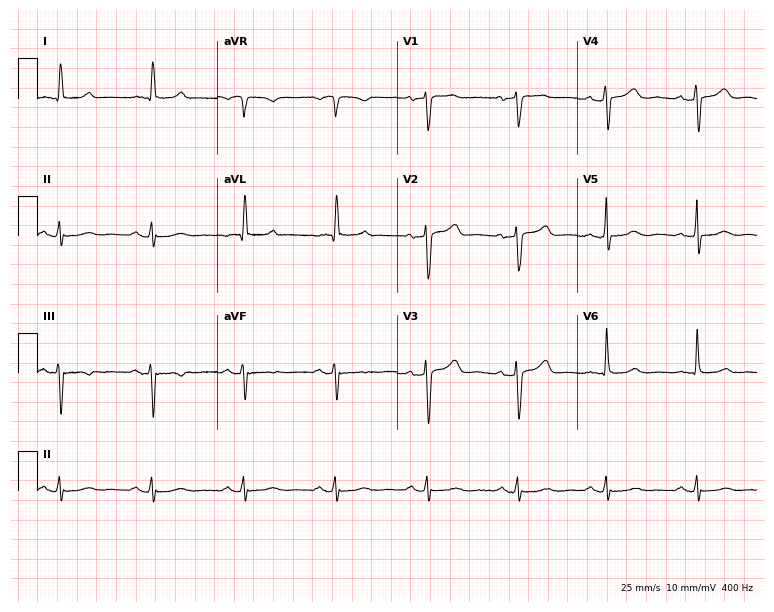
Resting 12-lead electrocardiogram (7.3-second recording at 400 Hz). Patient: a woman, 77 years old. Read as a normal ECG.